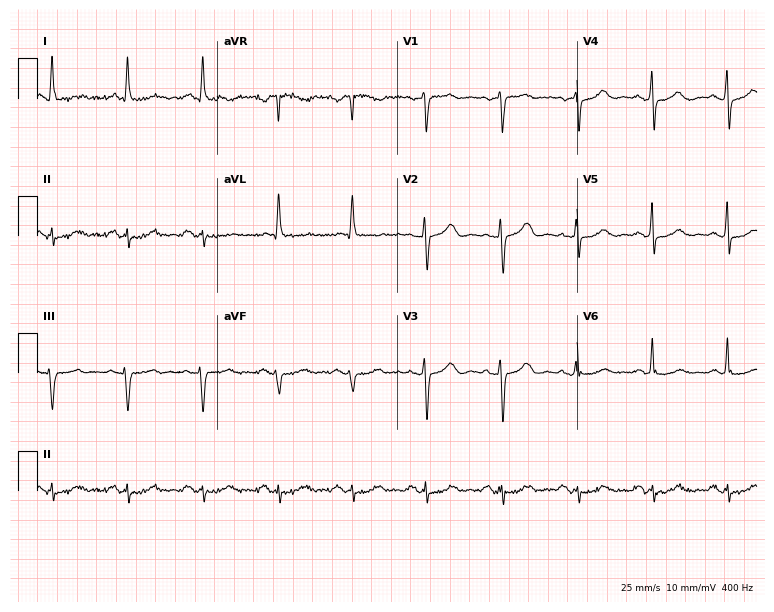
ECG — a female patient, 59 years old. Labelled as a normal ECG.